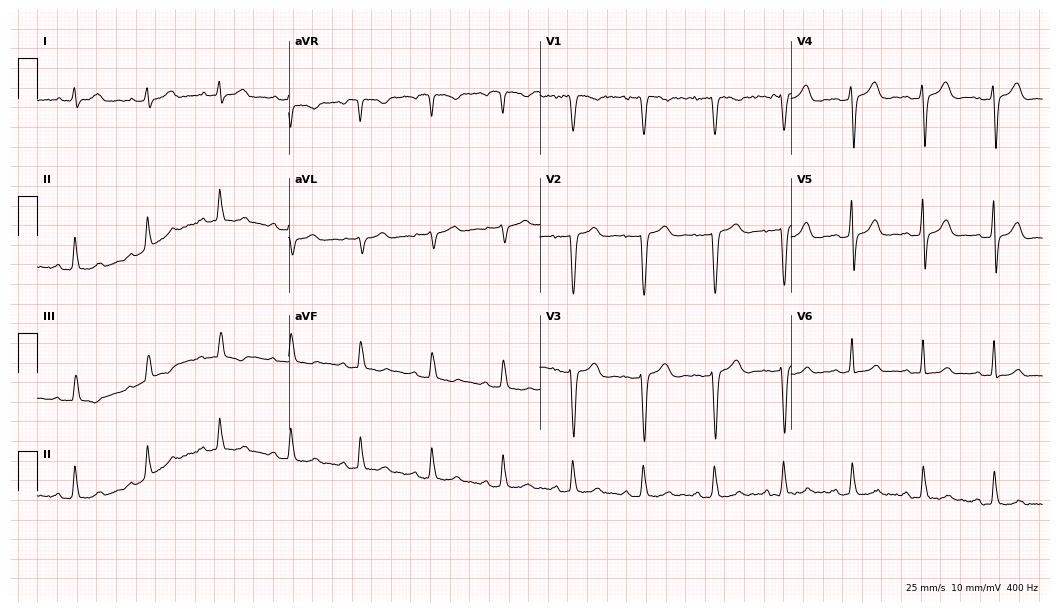
ECG — a 35-year-old female. Screened for six findings — first-degree AV block, right bundle branch block, left bundle branch block, sinus bradycardia, atrial fibrillation, sinus tachycardia — none is recorded. Only these six findings were labelled.